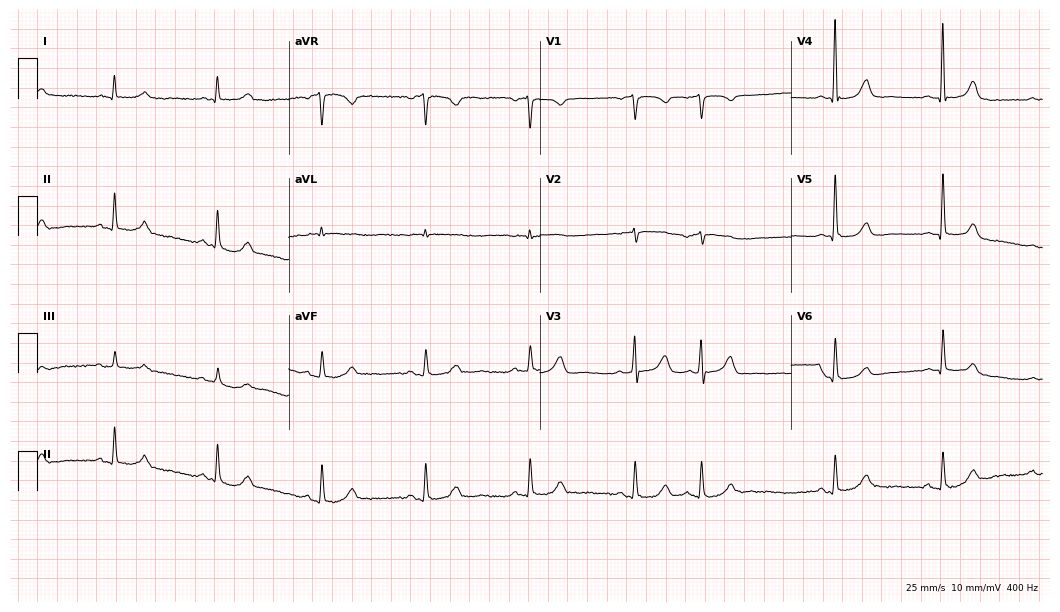
Electrocardiogram (10.2-second recording at 400 Hz), an 84-year-old male patient. Of the six screened findings (first-degree AV block, right bundle branch block, left bundle branch block, sinus bradycardia, atrial fibrillation, sinus tachycardia), none is recorded.